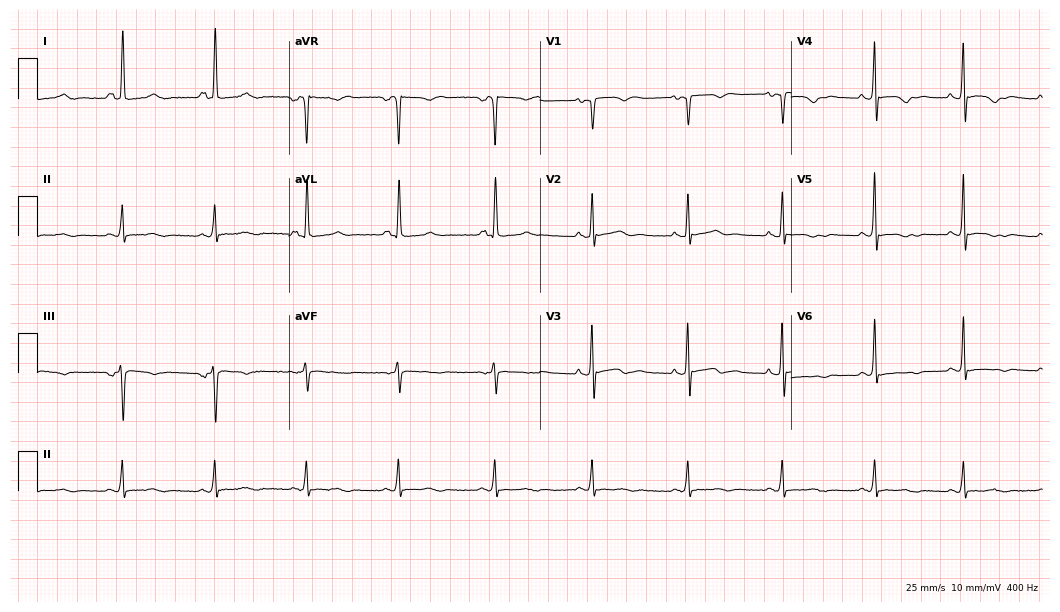
Standard 12-lead ECG recorded from a 62-year-old female. None of these six findings is recorded: first-degree AV block, right bundle branch block, left bundle branch block, sinus bradycardia, atrial fibrillation, sinus tachycardia. Only these six findings were labelled.